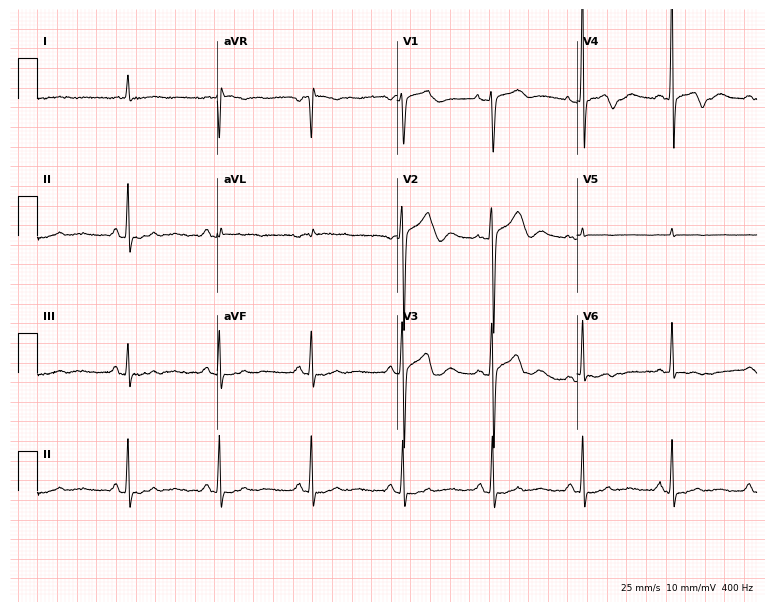
12-lead ECG from a 78-year-old female. No first-degree AV block, right bundle branch block, left bundle branch block, sinus bradycardia, atrial fibrillation or sinus tachycardia recorded for this tracing. Findings outside these six are not listed.